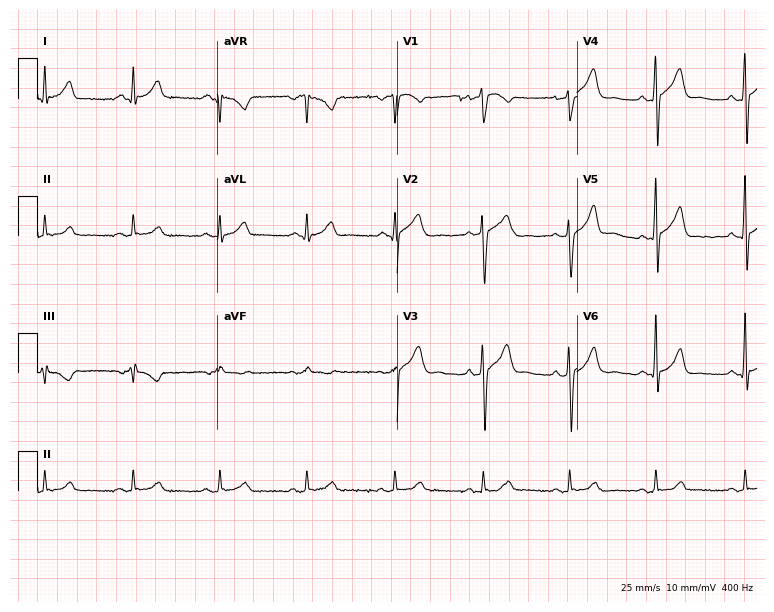
12-lead ECG from a man, 38 years old. Recorded interpretation: within normal limits.